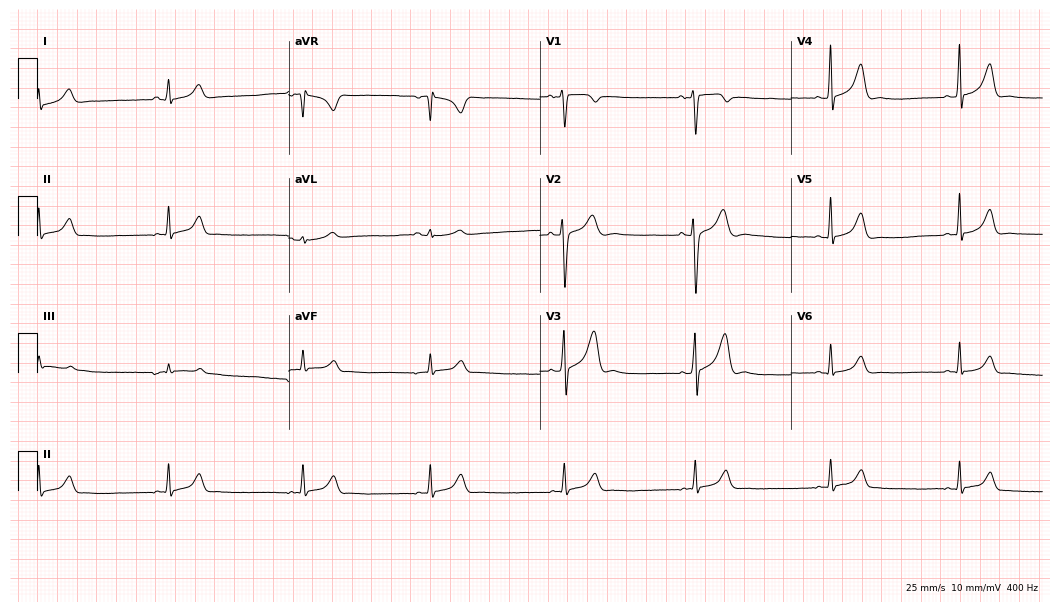
12-lead ECG (10.2-second recording at 400 Hz) from a man, 24 years old. Findings include sinus bradycardia (a sinus rate of 50 beats per minute or less).